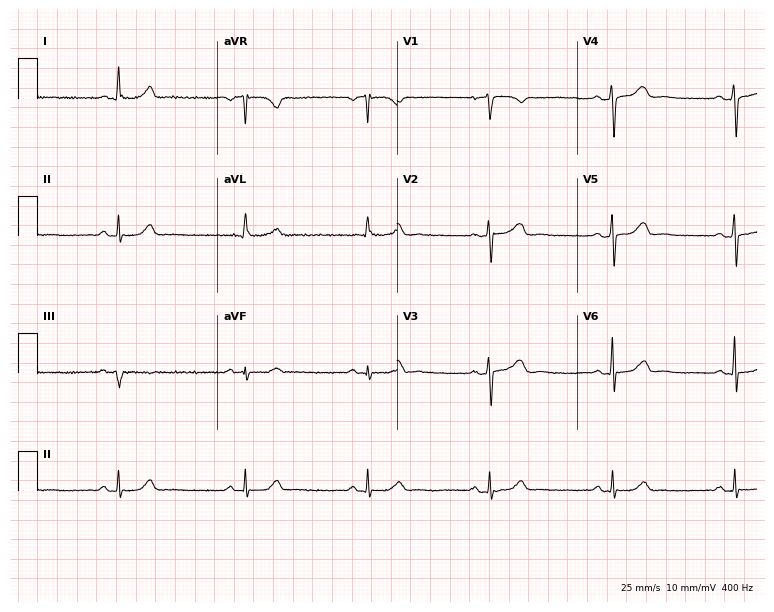
Resting 12-lead electrocardiogram (7.3-second recording at 400 Hz). Patient: a 47-year-old female. None of these six findings is recorded: first-degree AV block, right bundle branch block (RBBB), left bundle branch block (LBBB), sinus bradycardia, atrial fibrillation (AF), sinus tachycardia. Only these six findings were labelled.